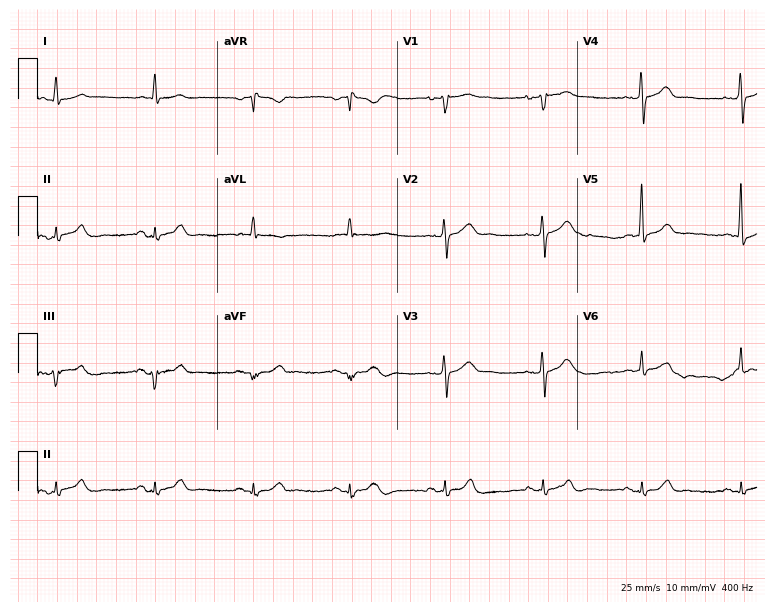
ECG (7.3-second recording at 400 Hz) — a man, 67 years old. Screened for six findings — first-degree AV block, right bundle branch block, left bundle branch block, sinus bradycardia, atrial fibrillation, sinus tachycardia — none is recorded. Findings outside these six are not listed.